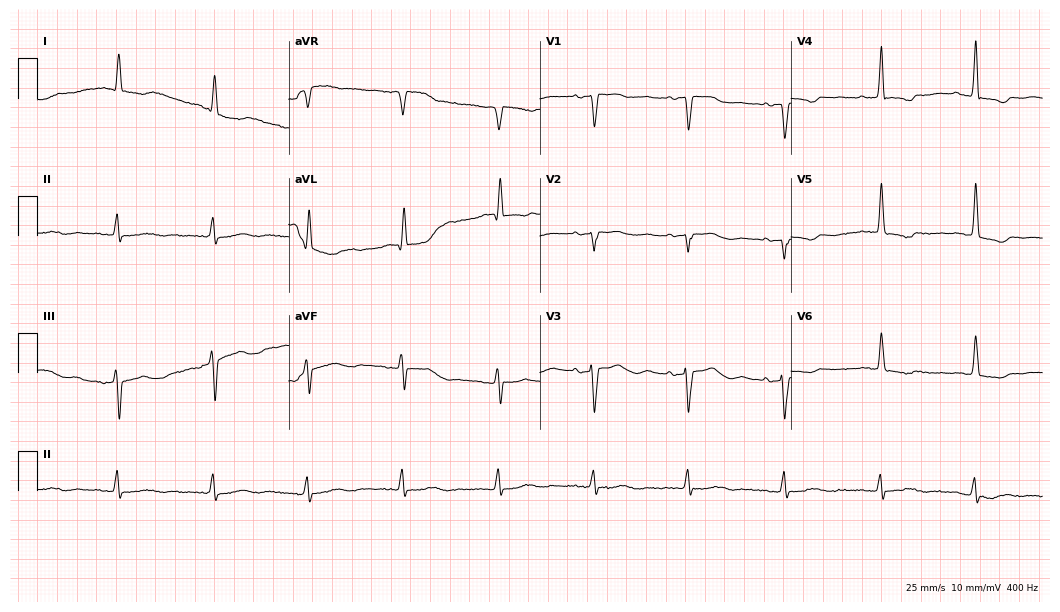
Standard 12-lead ECG recorded from a female patient, 83 years old. None of these six findings is recorded: first-degree AV block, right bundle branch block, left bundle branch block, sinus bradycardia, atrial fibrillation, sinus tachycardia. Findings outside these six are not listed.